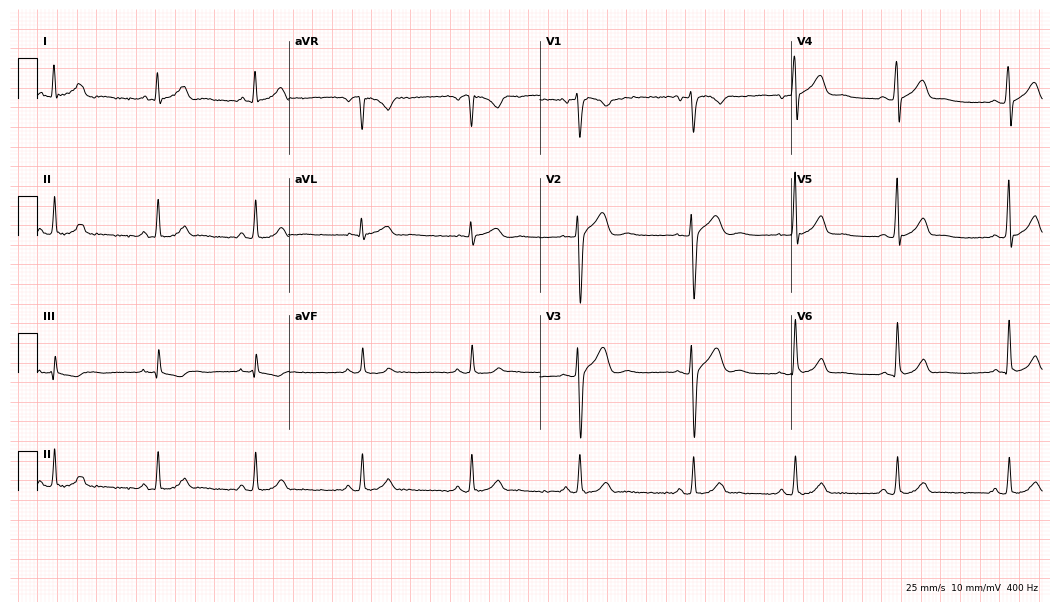
ECG — a male patient, 31 years old. Screened for six findings — first-degree AV block, right bundle branch block, left bundle branch block, sinus bradycardia, atrial fibrillation, sinus tachycardia — none is recorded.